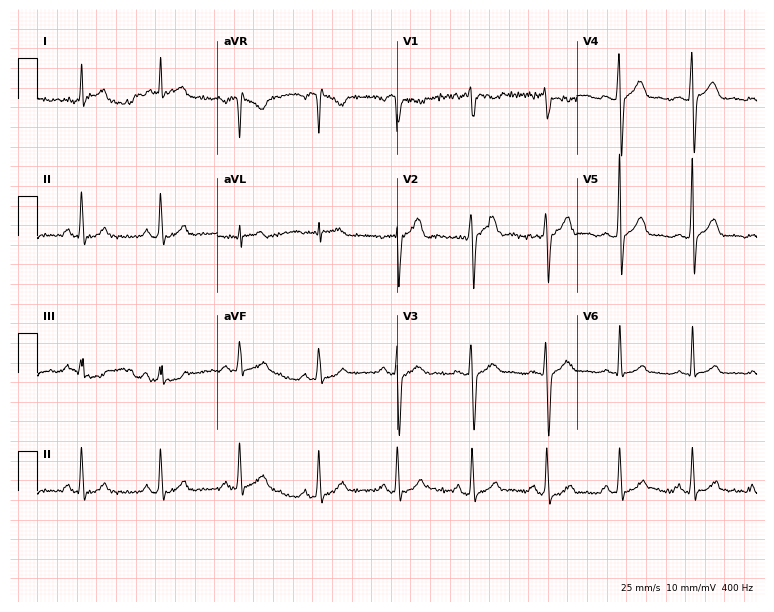
12-lead ECG (7.3-second recording at 400 Hz) from a 41-year-old male patient. Labelled as a normal ECG.